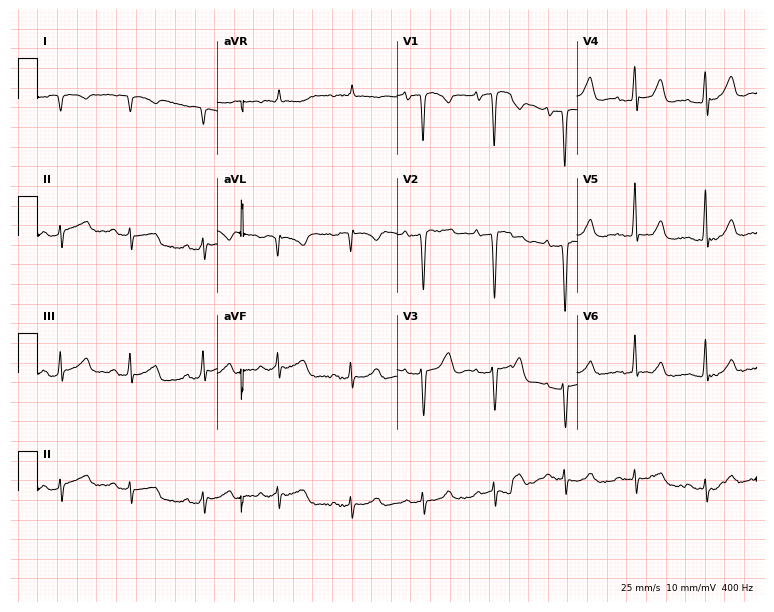
12-lead ECG from a male patient, 64 years old. No first-degree AV block, right bundle branch block (RBBB), left bundle branch block (LBBB), sinus bradycardia, atrial fibrillation (AF) or sinus tachycardia recorded for this tracing.